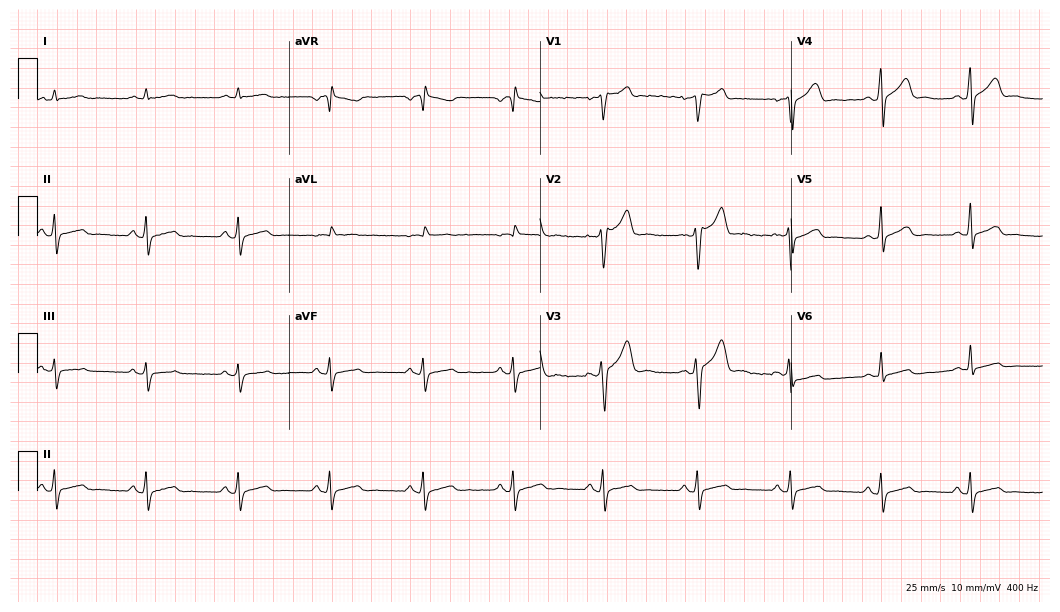
Standard 12-lead ECG recorded from a male patient, 31 years old. None of these six findings is recorded: first-degree AV block, right bundle branch block, left bundle branch block, sinus bradycardia, atrial fibrillation, sinus tachycardia. Only these six findings were labelled.